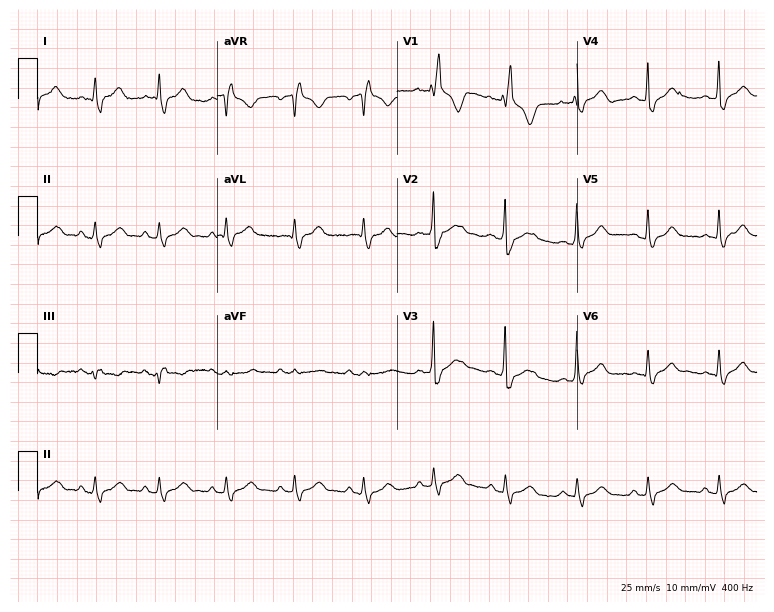
12-lead ECG from a female, 29 years old. Findings include right bundle branch block.